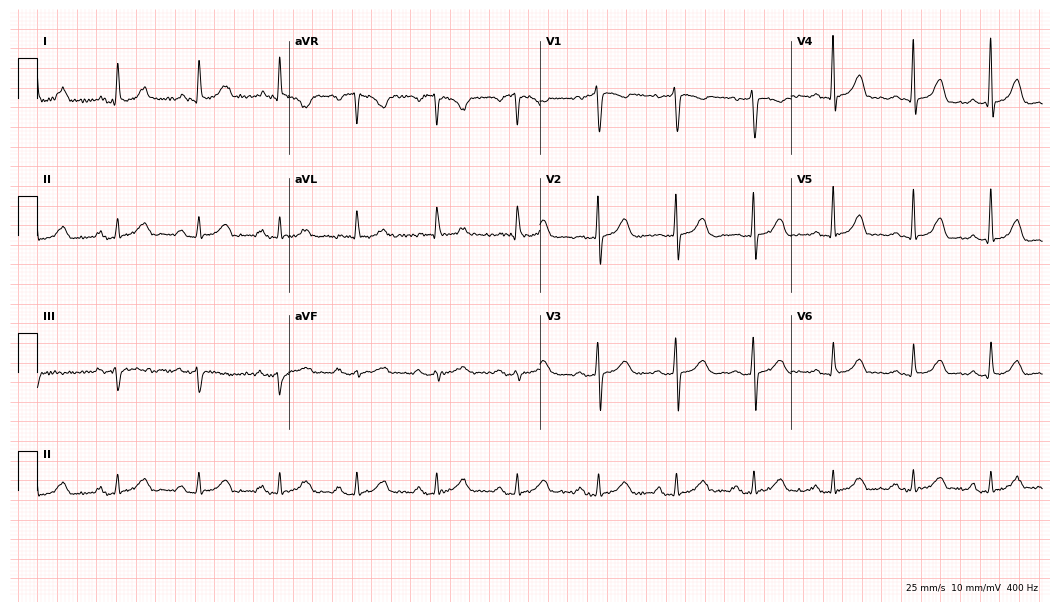
12-lead ECG (10.2-second recording at 400 Hz) from a female, 61 years old. Findings include first-degree AV block.